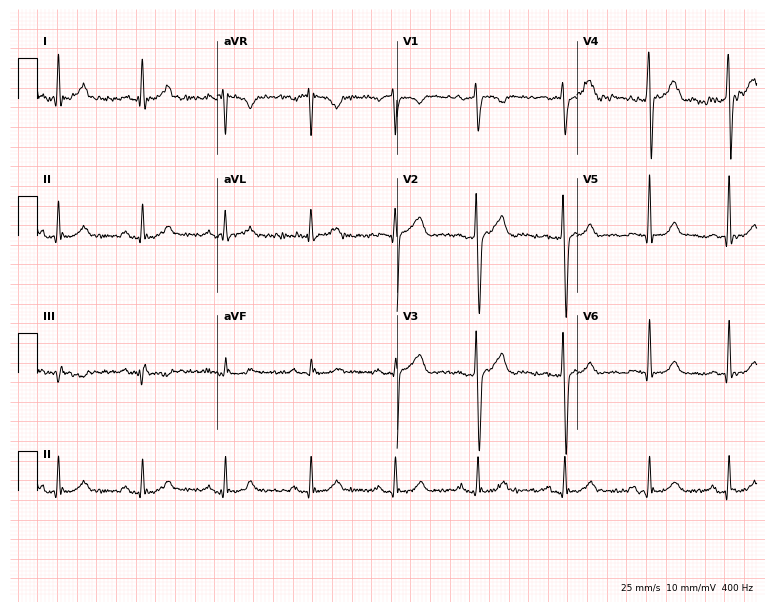
Electrocardiogram (7.3-second recording at 400 Hz), a 38-year-old male patient. Overall reading on record: normal ECG.